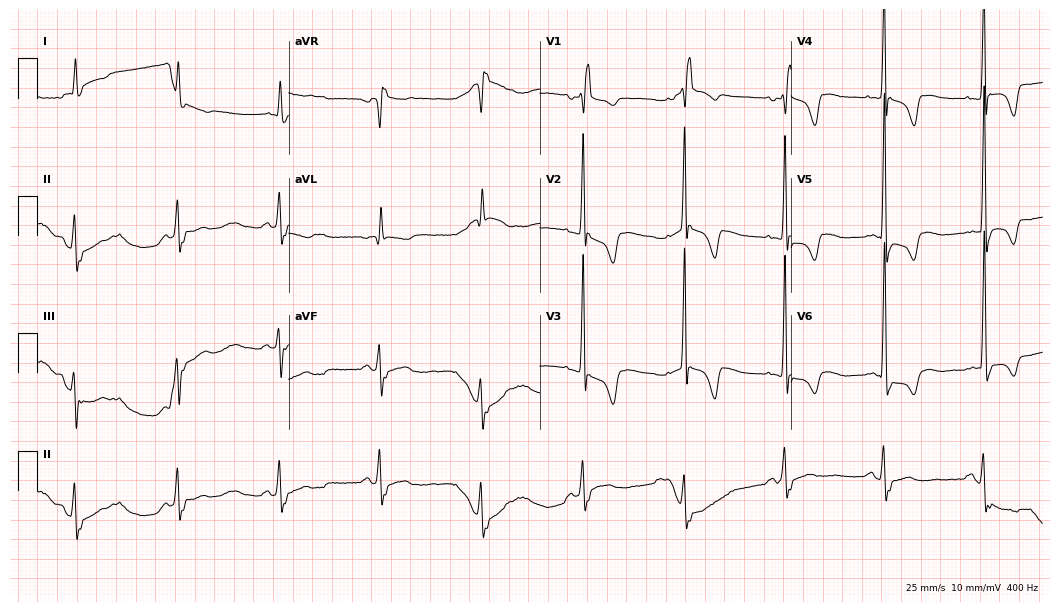
Standard 12-lead ECG recorded from a male patient, 85 years old. None of these six findings is recorded: first-degree AV block, right bundle branch block (RBBB), left bundle branch block (LBBB), sinus bradycardia, atrial fibrillation (AF), sinus tachycardia.